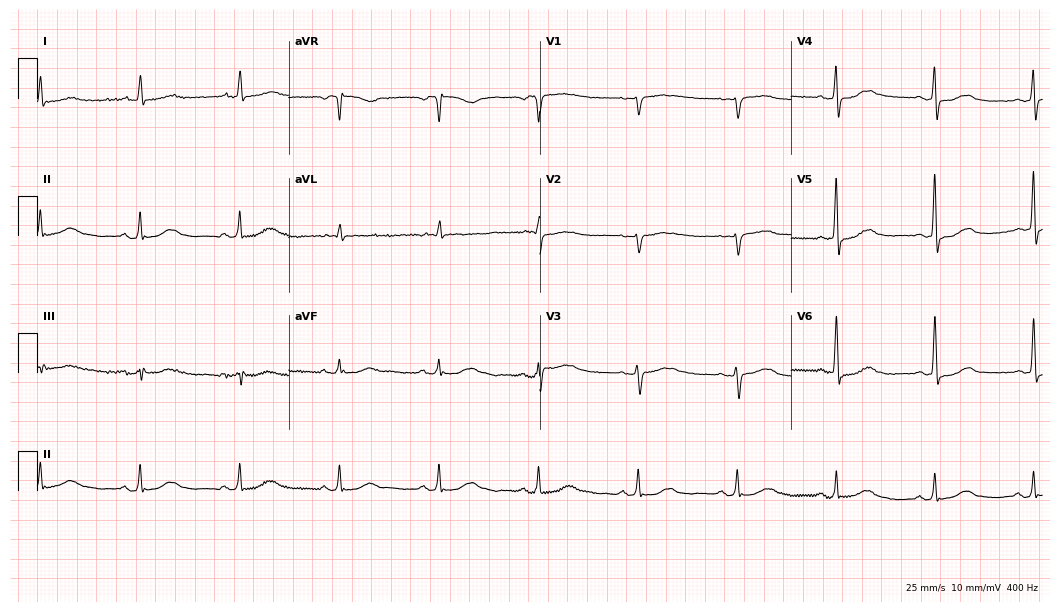
Electrocardiogram, a 75-year-old male patient. Of the six screened findings (first-degree AV block, right bundle branch block, left bundle branch block, sinus bradycardia, atrial fibrillation, sinus tachycardia), none is recorded. Other findings, if any, are not listed.